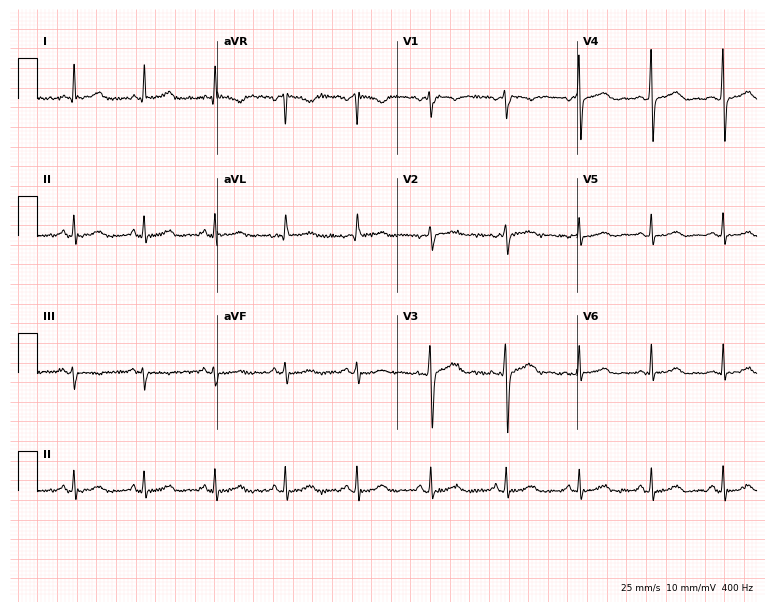
Standard 12-lead ECG recorded from a female patient, 35 years old (7.3-second recording at 400 Hz). Read as a normal ECG.